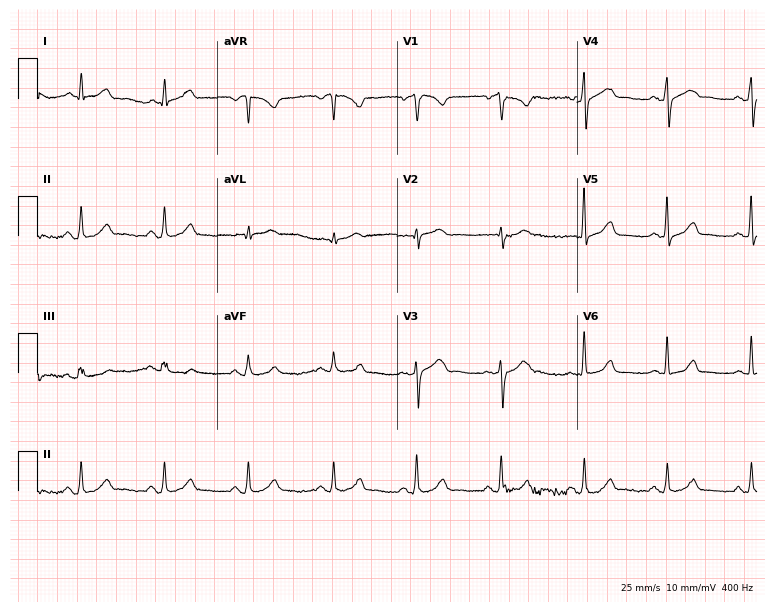
Standard 12-lead ECG recorded from a 57-year-old female. Read as a normal ECG.